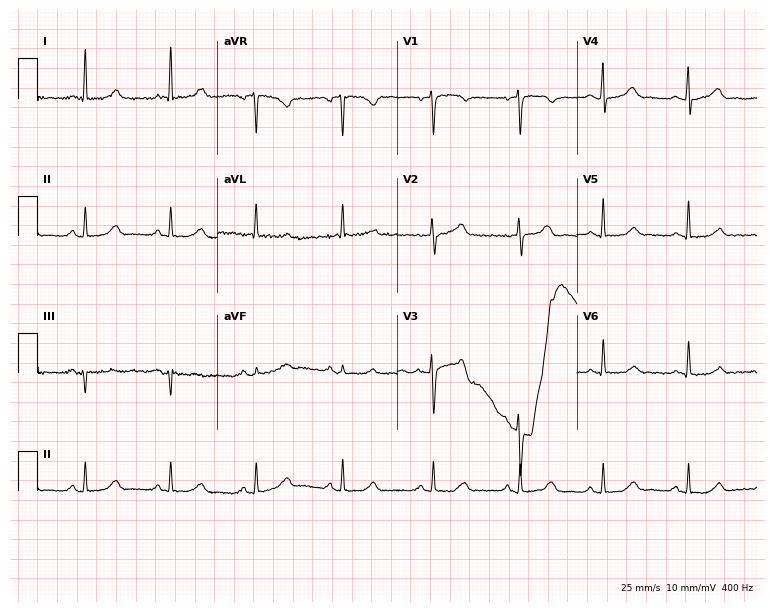
ECG (7.3-second recording at 400 Hz) — a 36-year-old female. Screened for six findings — first-degree AV block, right bundle branch block, left bundle branch block, sinus bradycardia, atrial fibrillation, sinus tachycardia — none is recorded. Findings outside these six are not listed.